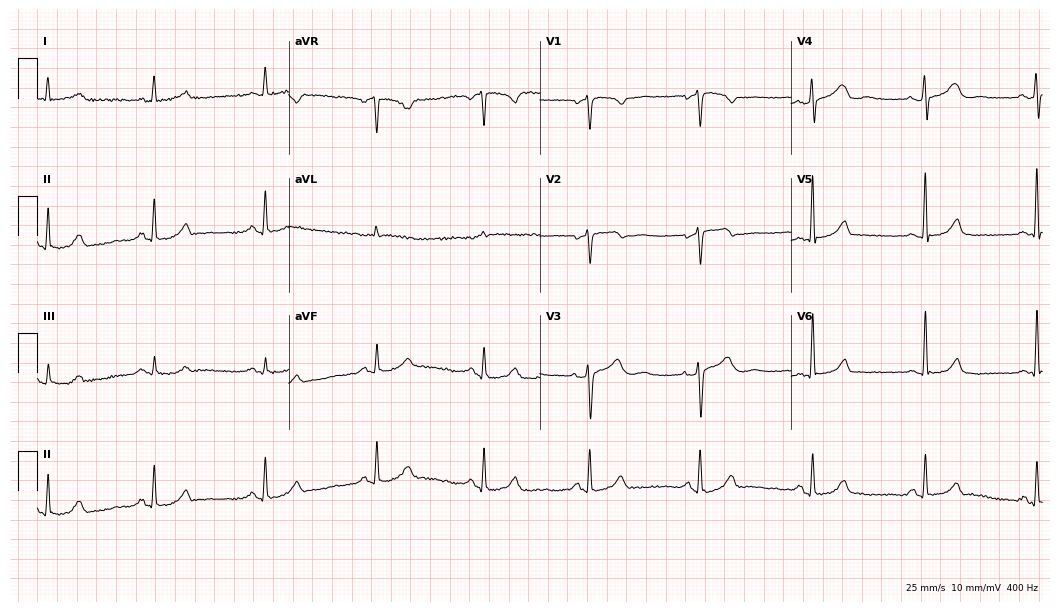
Standard 12-lead ECG recorded from a 62-year-old female. None of these six findings is recorded: first-degree AV block, right bundle branch block, left bundle branch block, sinus bradycardia, atrial fibrillation, sinus tachycardia.